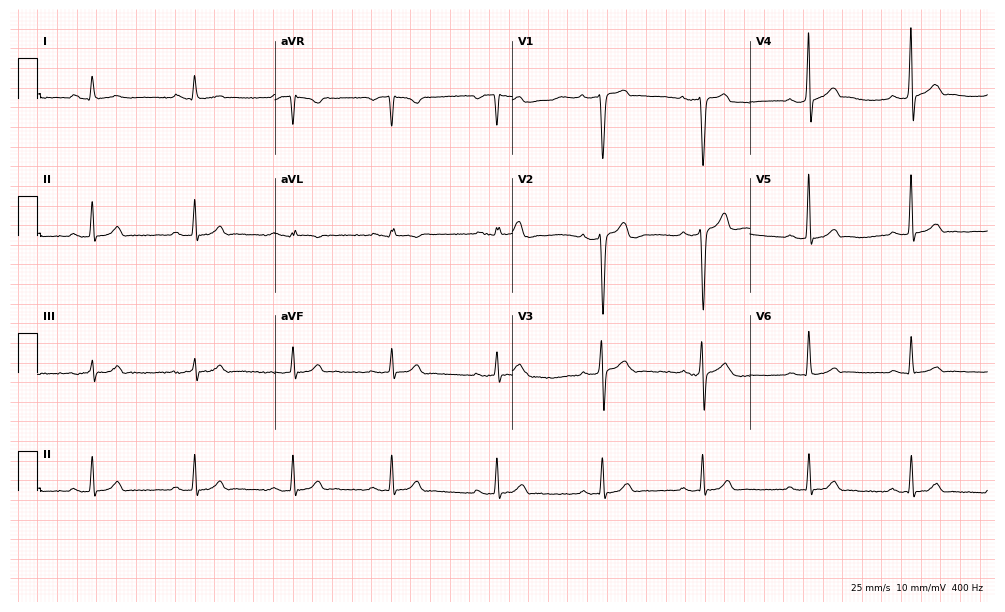
Standard 12-lead ECG recorded from a male, 28 years old. Read as a normal ECG.